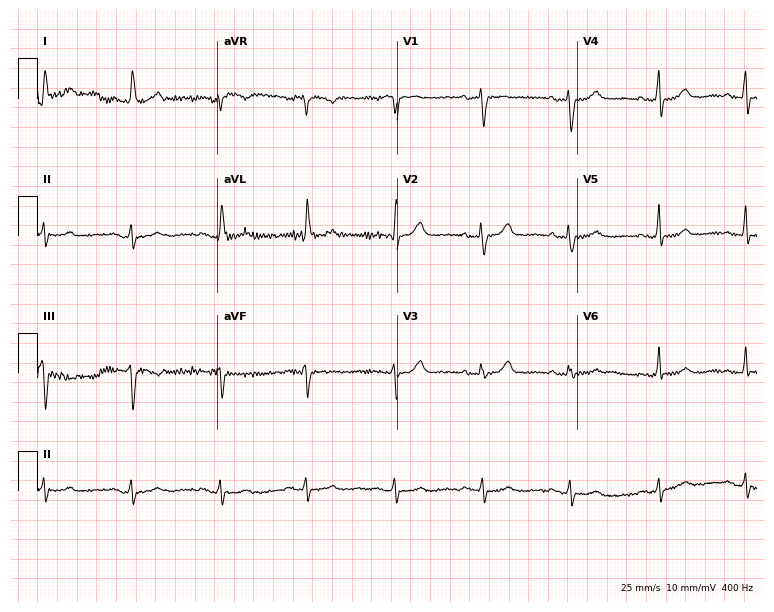
Electrocardiogram (7.3-second recording at 400 Hz), a 63-year-old woman. Of the six screened findings (first-degree AV block, right bundle branch block (RBBB), left bundle branch block (LBBB), sinus bradycardia, atrial fibrillation (AF), sinus tachycardia), none is recorded.